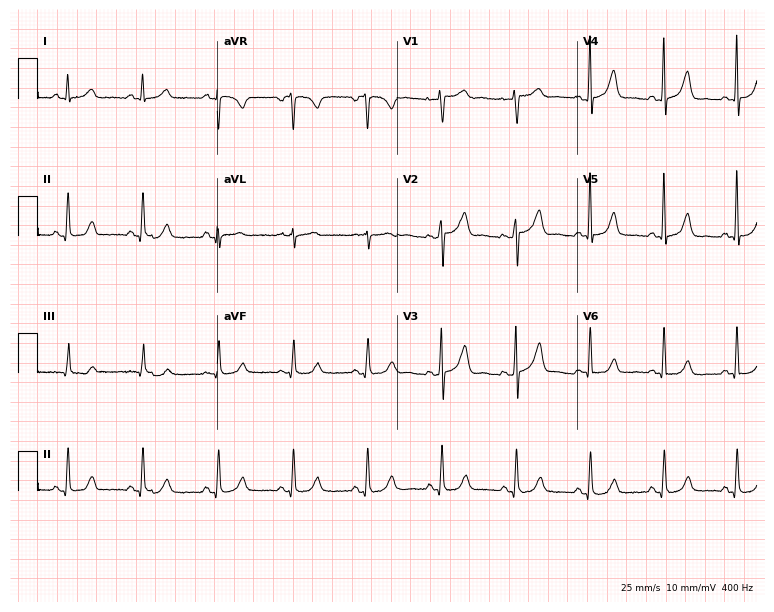
Standard 12-lead ECG recorded from a 67-year-old woman. Read as a normal ECG.